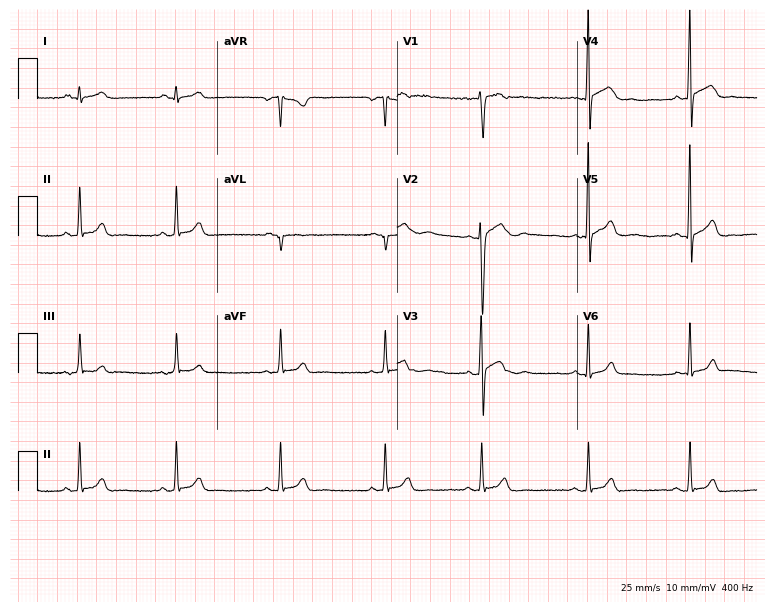
Standard 12-lead ECG recorded from a male patient, 21 years old (7.3-second recording at 400 Hz). Read as a normal ECG.